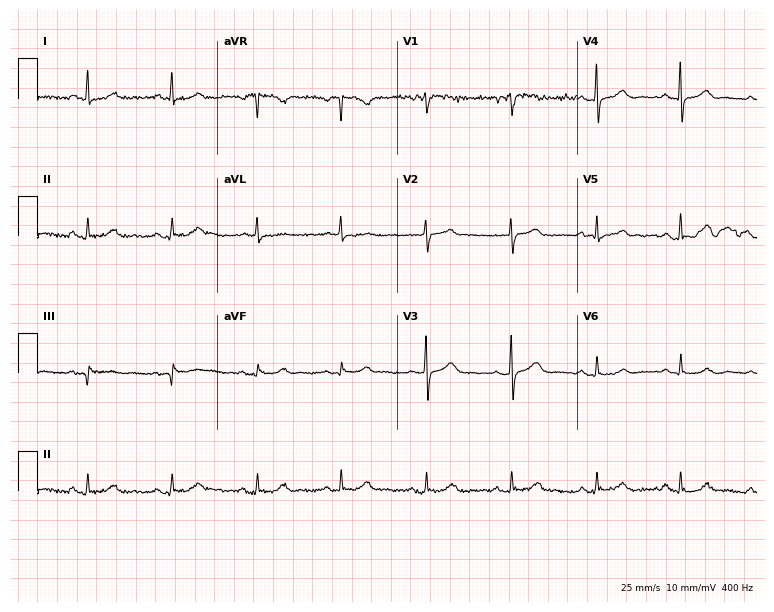
Electrocardiogram, a 64-year-old female. Overall reading on record: normal ECG.